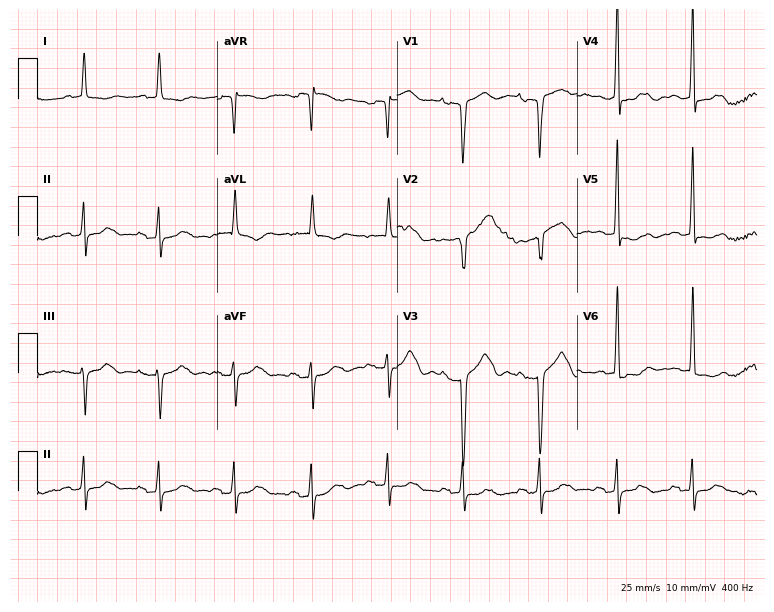
12-lead ECG from a 78-year-old male. Screened for six findings — first-degree AV block, right bundle branch block, left bundle branch block, sinus bradycardia, atrial fibrillation, sinus tachycardia — none is recorded. Findings outside these six are not listed.